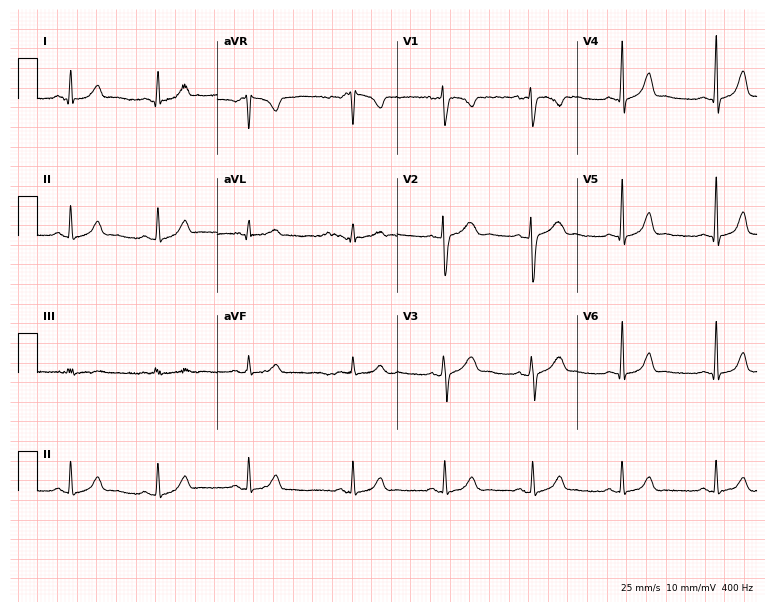
ECG (7.3-second recording at 400 Hz) — a 22-year-old woman. Screened for six findings — first-degree AV block, right bundle branch block (RBBB), left bundle branch block (LBBB), sinus bradycardia, atrial fibrillation (AF), sinus tachycardia — none is recorded.